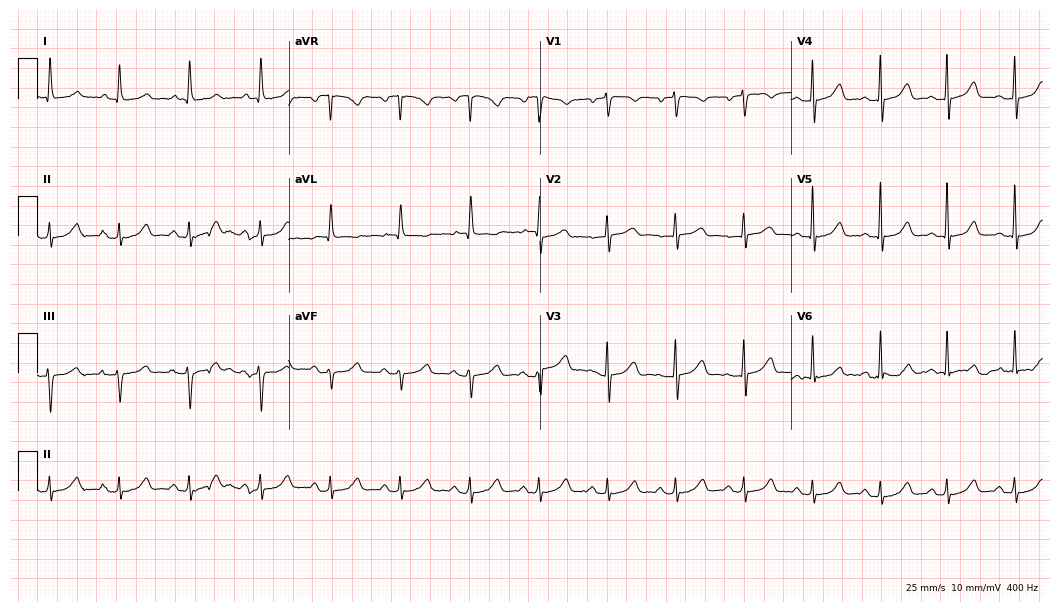
Resting 12-lead electrocardiogram. Patient: a 73-year-old female. Read as a normal ECG.